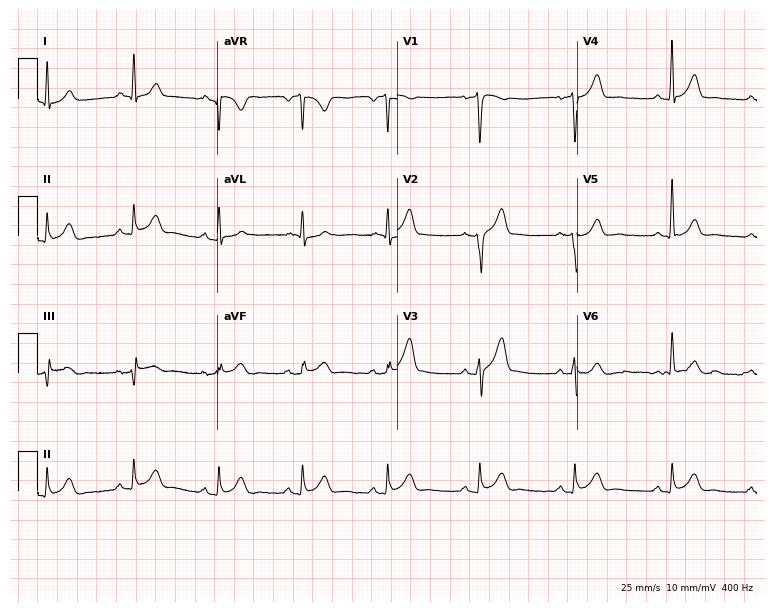
Electrocardiogram, a 43-year-old male. Overall reading on record: normal ECG.